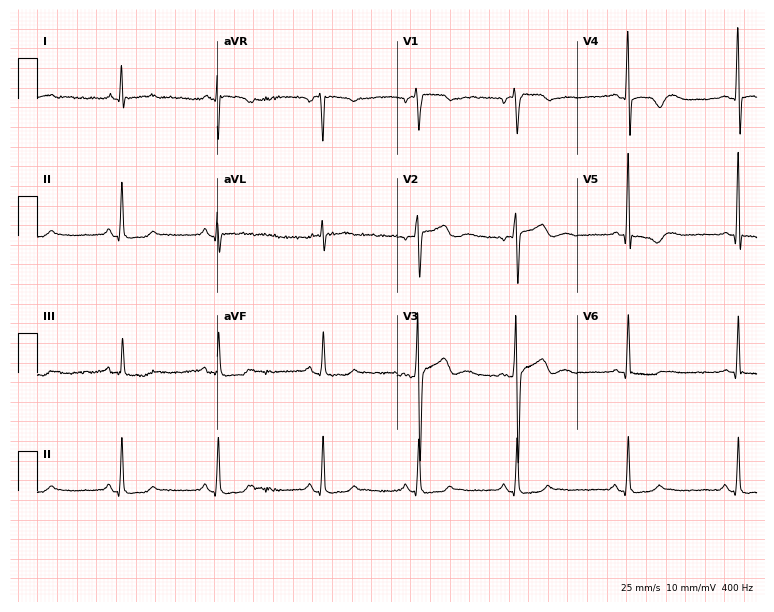
Standard 12-lead ECG recorded from a male, 32 years old. None of these six findings is recorded: first-degree AV block, right bundle branch block (RBBB), left bundle branch block (LBBB), sinus bradycardia, atrial fibrillation (AF), sinus tachycardia. Findings outside these six are not listed.